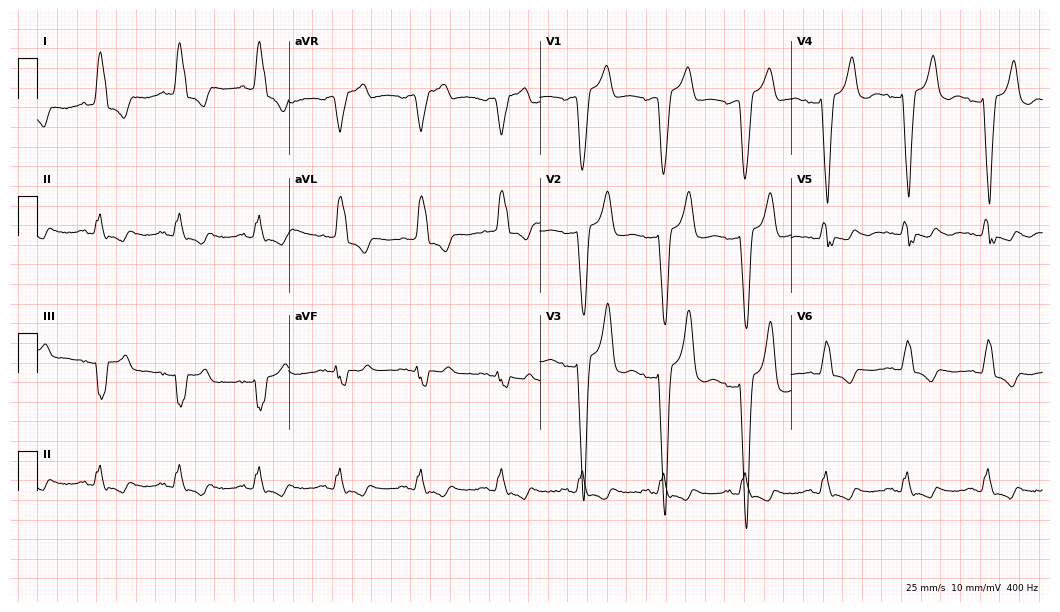
Standard 12-lead ECG recorded from a female, 78 years old (10.2-second recording at 400 Hz). The tracing shows left bundle branch block (LBBB).